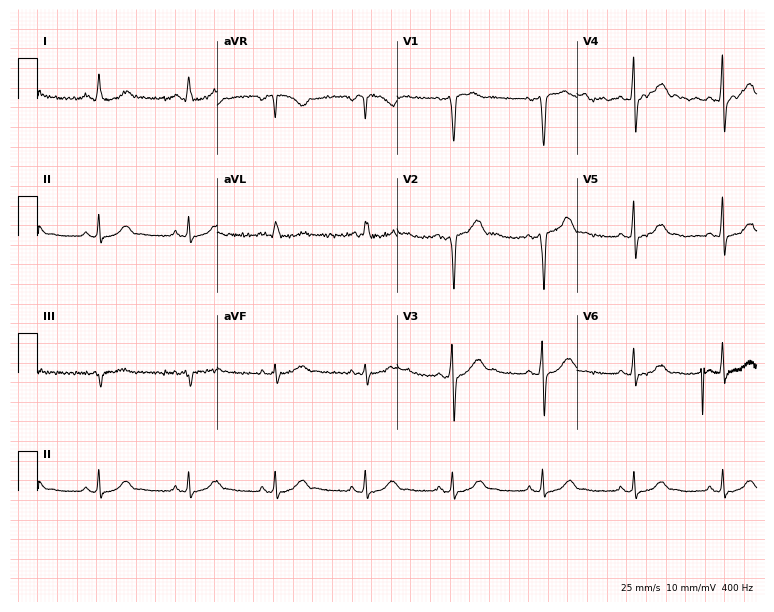
12-lead ECG from a 43-year-old female patient (7.3-second recording at 400 Hz). Recorded interpretation: within normal limits.